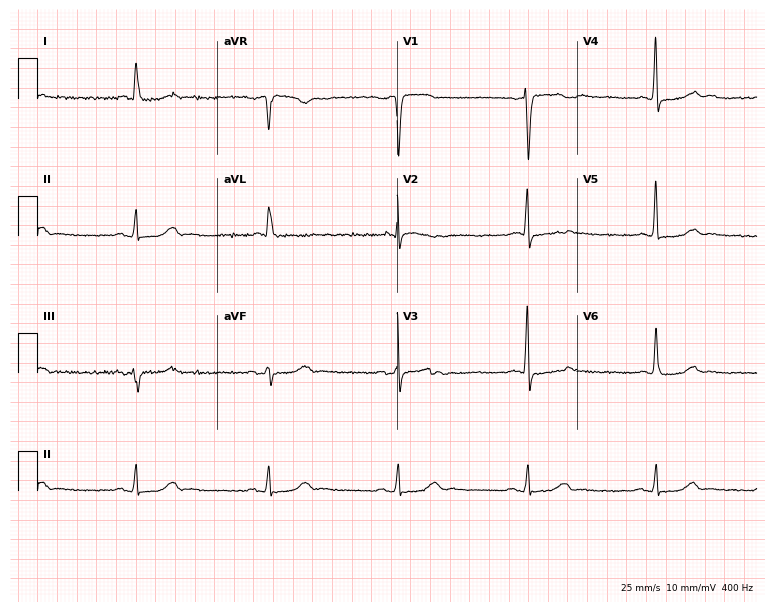
Standard 12-lead ECG recorded from a male, 56 years old. None of these six findings is recorded: first-degree AV block, right bundle branch block (RBBB), left bundle branch block (LBBB), sinus bradycardia, atrial fibrillation (AF), sinus tachycardia. Other findings, if any, are not listed.